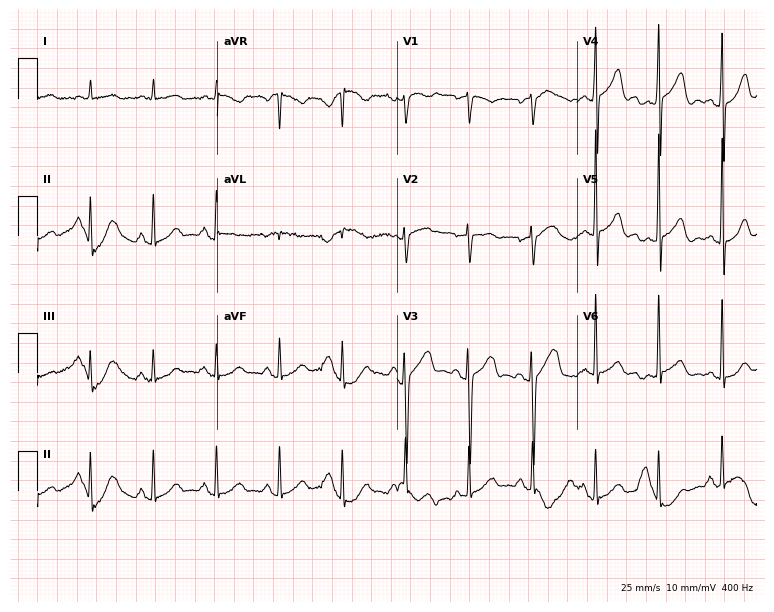
Electrocardiogram (7.3-second recording at 400 Hz), a 67-year-old woman. Of the six screened findings (first-degree AV block, right bundle branch block, left bundle branch block, sinus bradycardia, atrial fibrillation, sinus tachycardia), none is recorded.